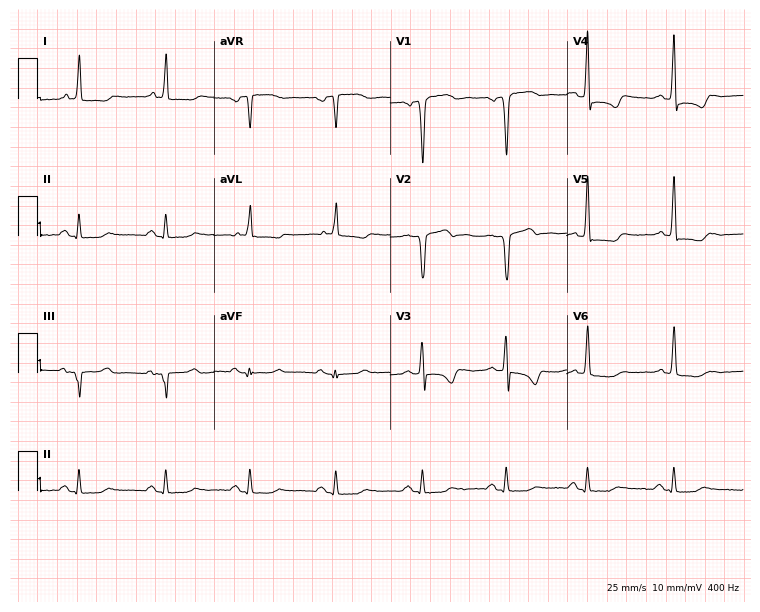
Standard 12-lead ECG recorded from a male, 49 years old. None of these six findings is recorded: first-degree AV block, right bundle branch block, left bundle branch block, sinus bradycardia, atrial fibrillation, sinus tachycardia.